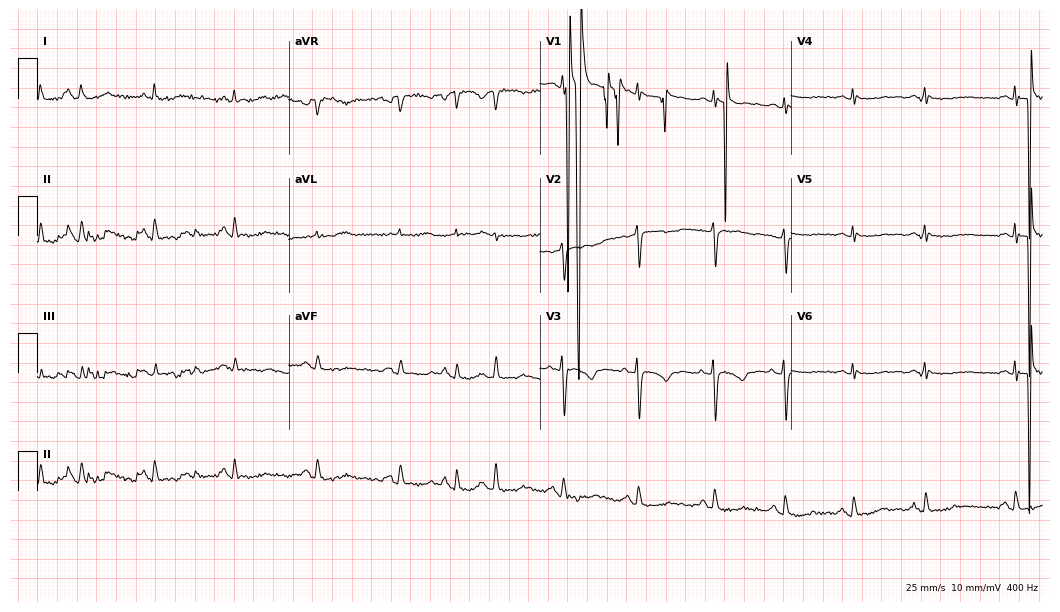
Electrocardiogram, a female patient, 78 years old. Of the six screened findings (first-degree AV block, right bundle branch block (RBBB), left bundle branch block (LBBB), sinus bradycardia, atrial fibrillation (AF), sinus tachycardia), none is recorded. Findings outside these six are not listed.